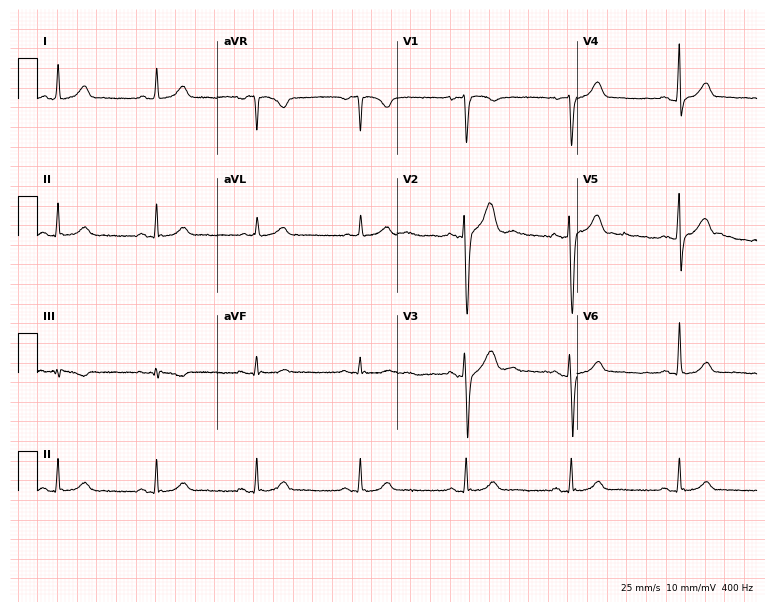
Electrocardiogram, a male, 37 years old. Of the six screened findings (first-degree AV block, right bundle branch block, left bundle branch block, sinus bradycardia, atrial fibrillation, sinus tachycardia), none is recorded. Other findings, if any, are not listed.